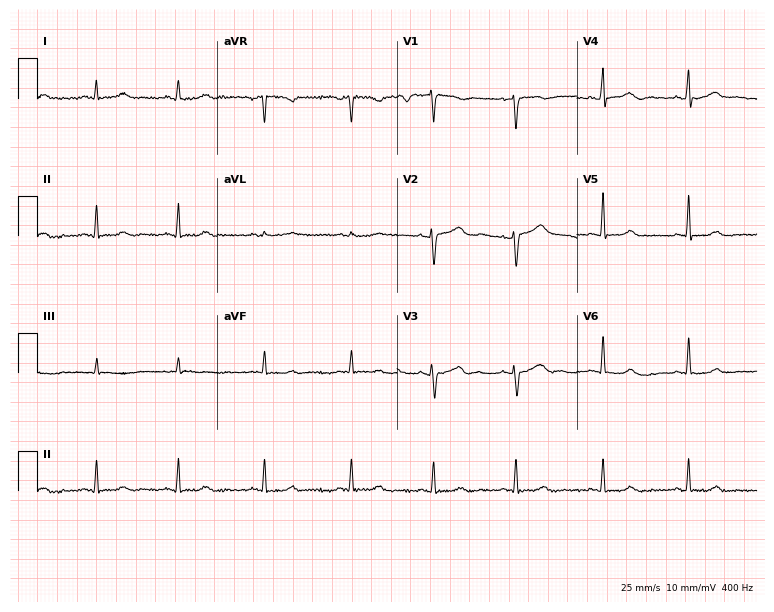
Standard 12-lead ECG recorded from a woman, 40 years old. Read as a normal ECG.